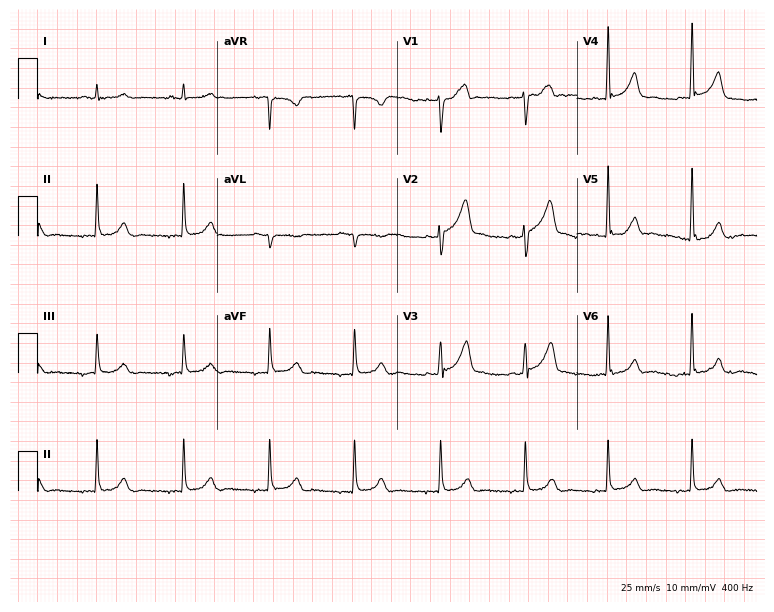
Electrocardiogram, a 48-year-old male patient. Of the six screened findings (first-degree AV block, right bundle branch block, left bundle branch block, sinus bradycardia, atrial fibrillation, sinus tachycardia), none is recorded.